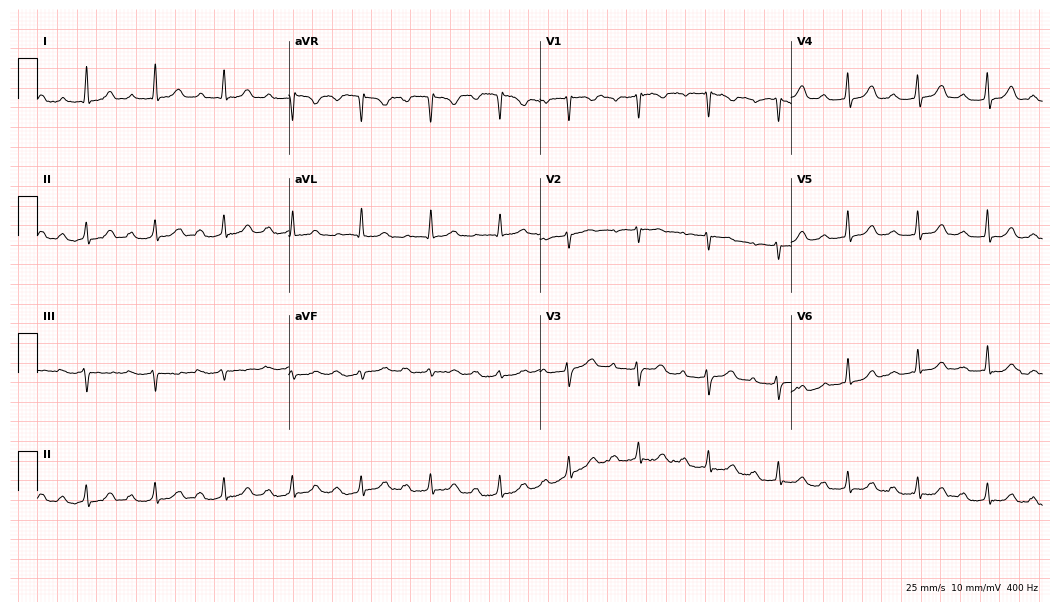
Resting 12-lead electrocardiogram. Patient: a woman, 78 years old. The tracing shows first-degree AV block.